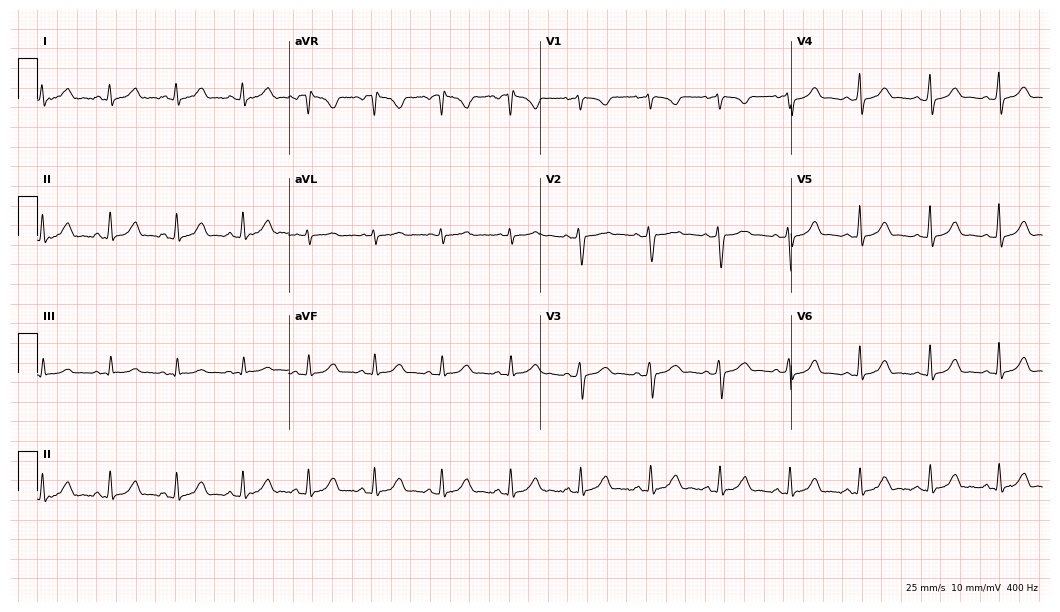
12-lead ECG from a woman, 40 years old. Screened for six findings — first-degree AV block, right bundle branch block, left bundle branch block, sinus bradycardia, atrial fibrillation, sinus tachycardia — none is recorded. Findings outside these six are not listed.